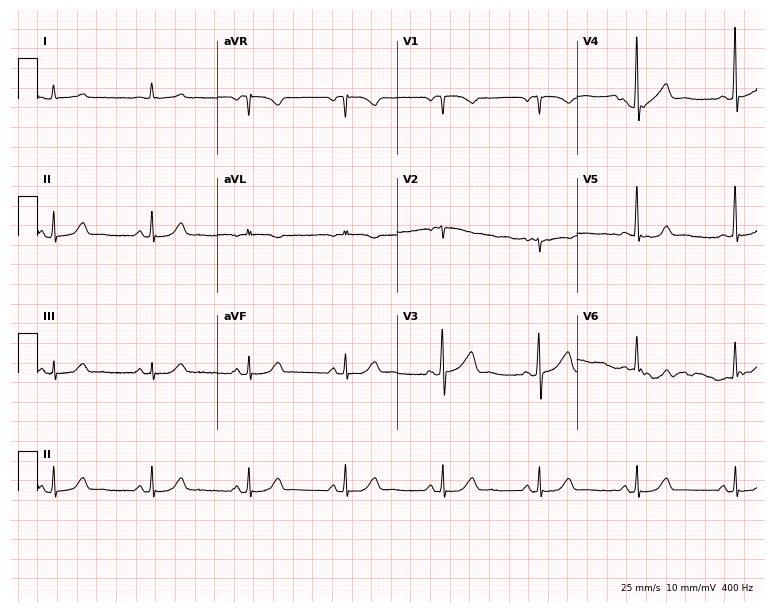
Resting 12-lead electrocardiogram. Patient: a 71-year-old male. Read as a normal ECG.